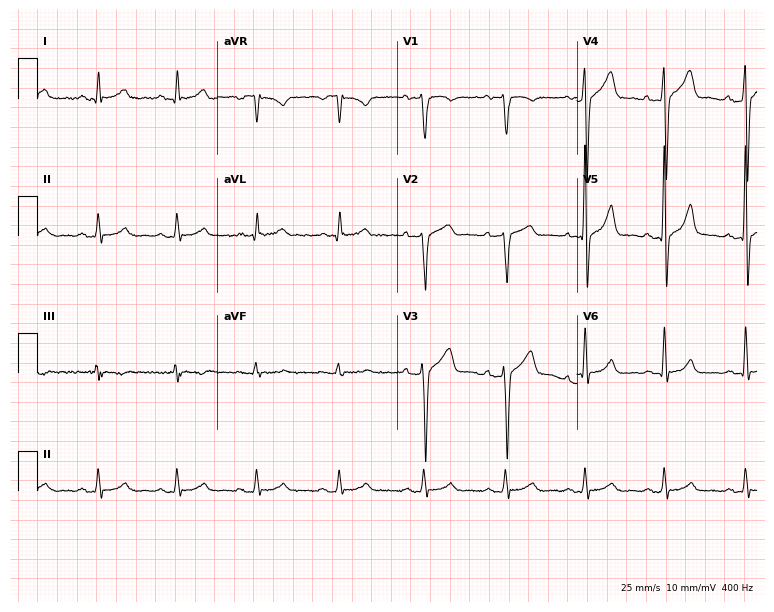
12-lead ECG from a man, 44 years old. Screened for six findings — first-degree AV block, right bundle branch block (RBBB), left bundle branch block (LBBB), sinus bradycardia, atrial fibrillation (AF), sinus tachycardia — none is recorded.